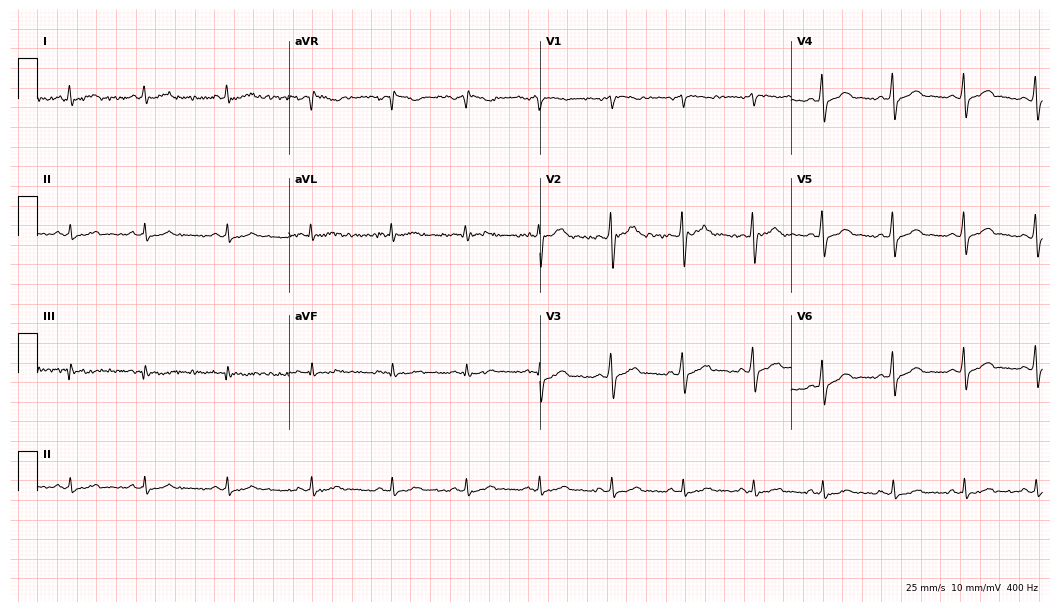
12-lead ECG from a 45-year-old male. Recorded interpretation: within normal limits.